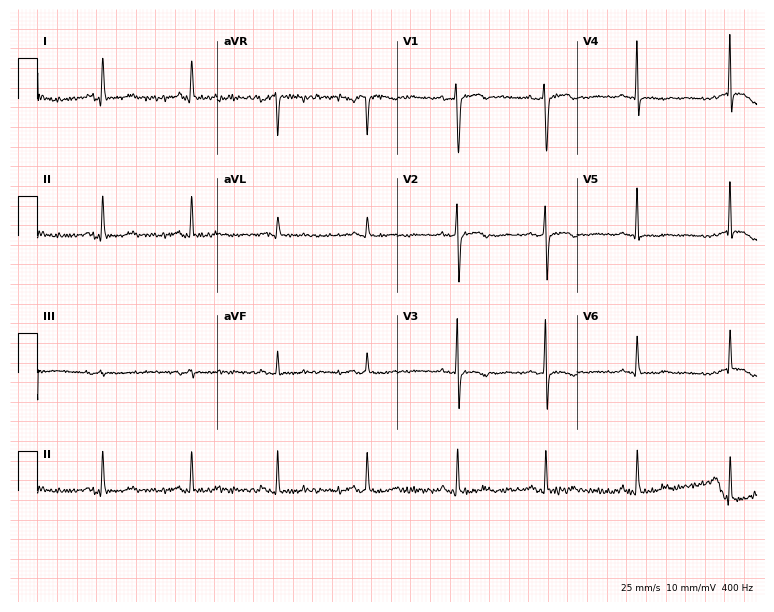
Resting 12-lead electrocardiogram. Patient: a 39-year-old female. None of these six findings is recorded: first-degree AV block, right bundle branch block, left bundle branch block, sinus bradycardia, atrial fibrillation, sinus tachycardia. Findings outside these six are not listed.